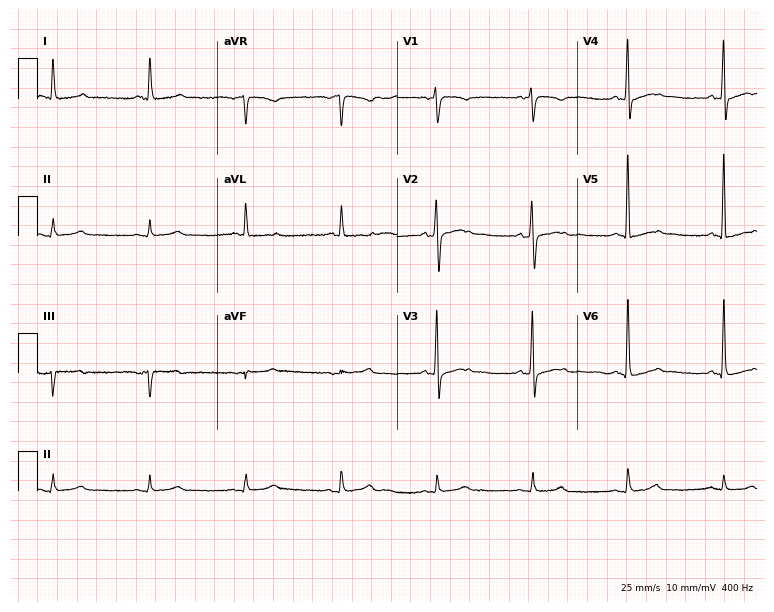
Electrocardiogram (7.3-second recording at 400 Hz), a 78-year-old woman. Of the six screened findings (first-degree AV block, right bundle branch block (RBBB), left bundle branch block (LBBB), sinus bradycardia, atrial fibrillation (AF), sinus tachycardia), none is recorded. Findings outside these six are not listed.